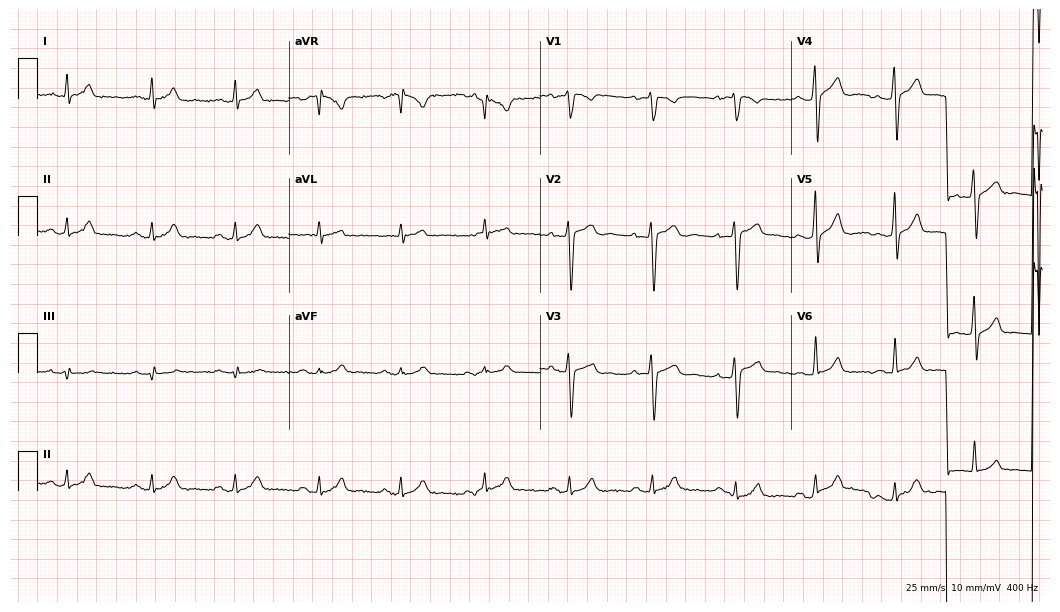
Standard 12-lead ECG recorded from a man, 43 years old. Read as a normal ECG.